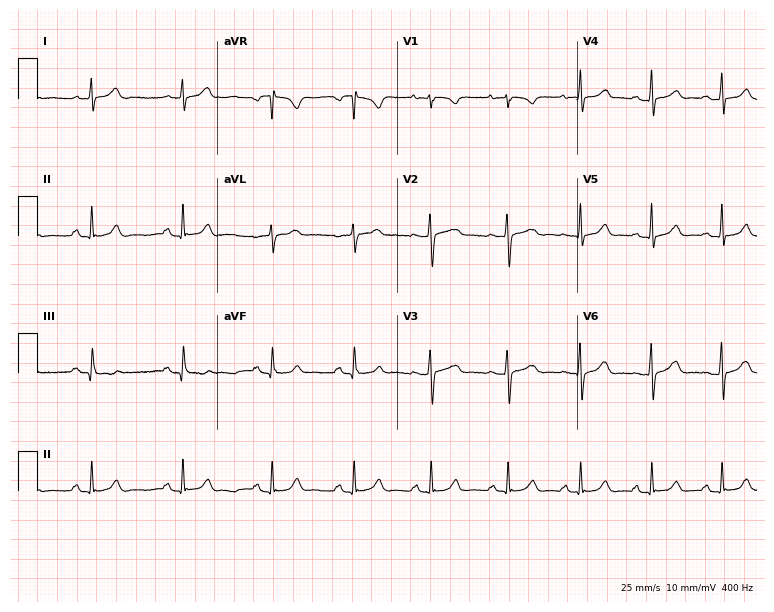
Electrocardiogram, a 24-year-old woman. Overall reading on record: normal ECG.